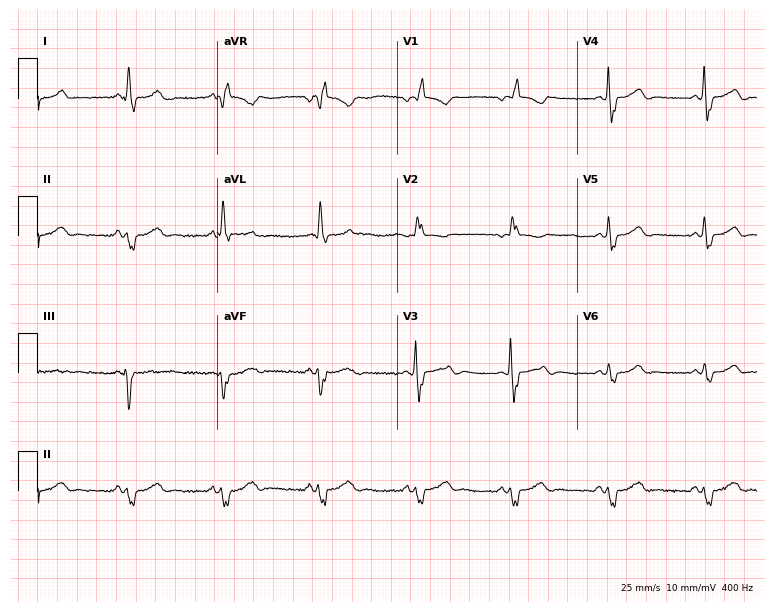
12-lead ECG from a female patient, 61 years old. Findings include right bundle branch block.